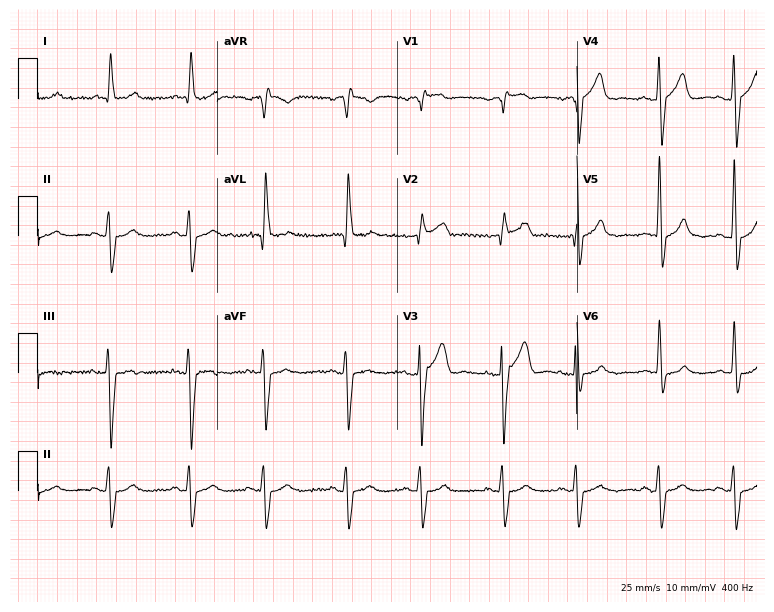
12-lead ECG from a man, 72 years old (7.3-second recording at 400 Hz). No first-degree AV block, right bundle branch block (RBBB), left bundle branch block (LBBB), sinus bradycardia, atrial fibrillation (AF) or sinus tachycardia recorded for this tracing. Only these six findings were labelled.